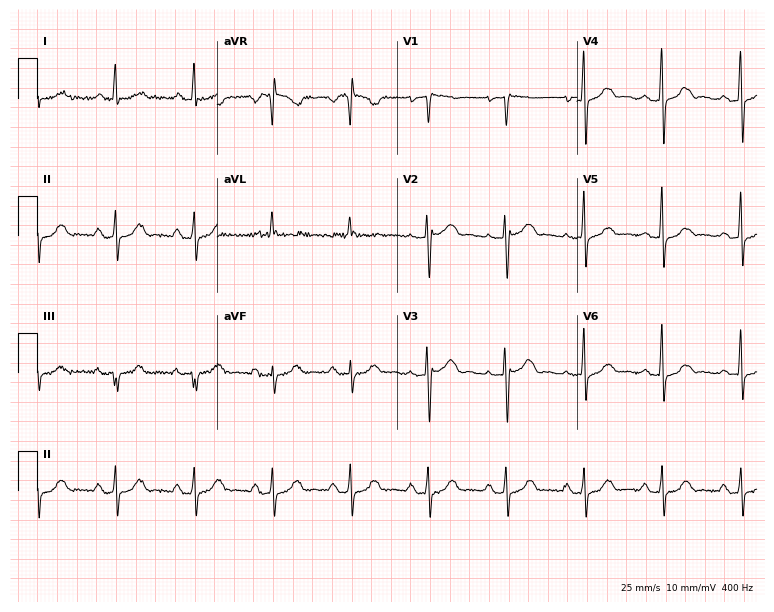
Electrocardiogram, a 64-year-old woman. Overall reading on record: normal ECG.